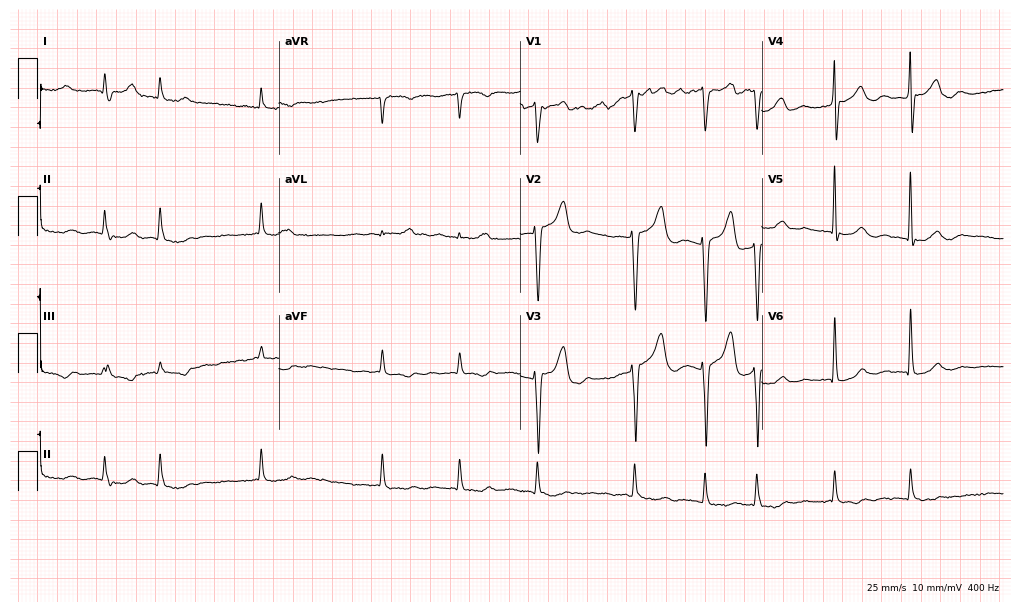
Resting 12-lead electrocardiogram (9.8-second recording at 400 Hz). Patient: a 75-year-old male. The tracing shows atrial fibrillation.